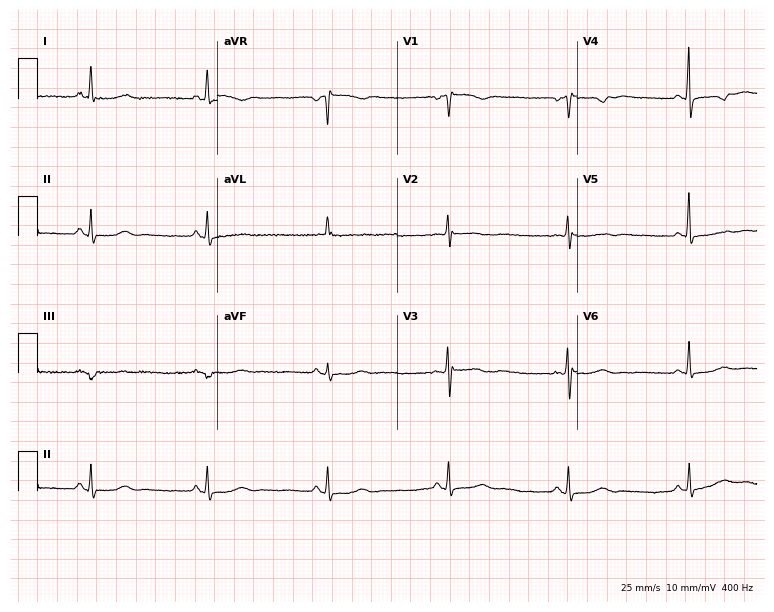
Resting 12-lead electrocardiogram. Patient: a female, 45 years old. The tracing shows sinus bradycardia (a sinus rate of 50 beats per minute or less).